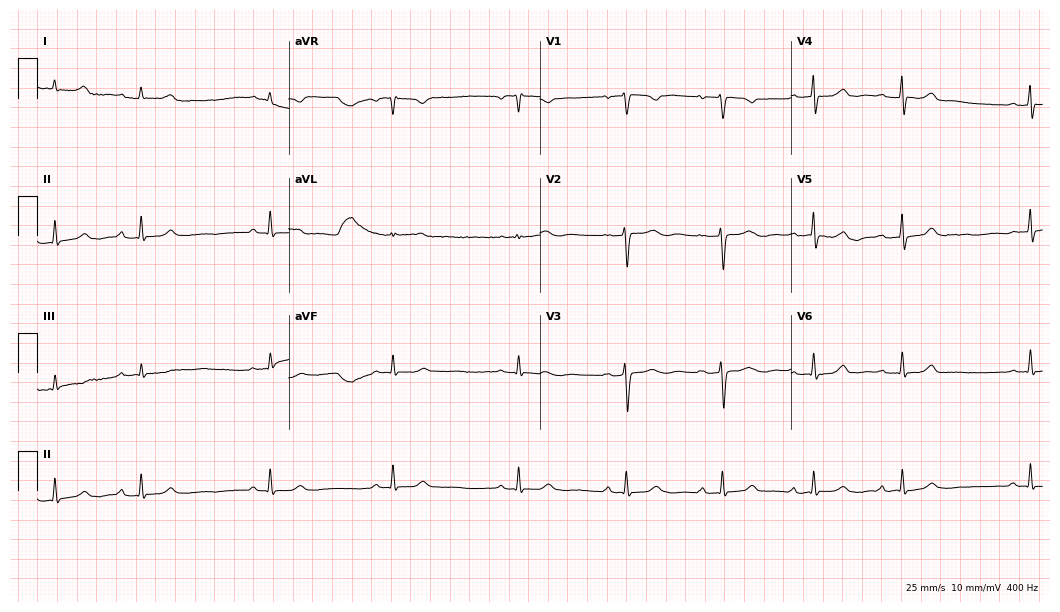
Standard 12-lead ECG recorded from a female patient, 19 years old (10.2-second recording at 400 Hz). None of these six findings is recorded: first-degree AV block, right bundle branch block, left bundle branch block, sinus bradycardia, atrial fibrillation, sinus tachycardia.